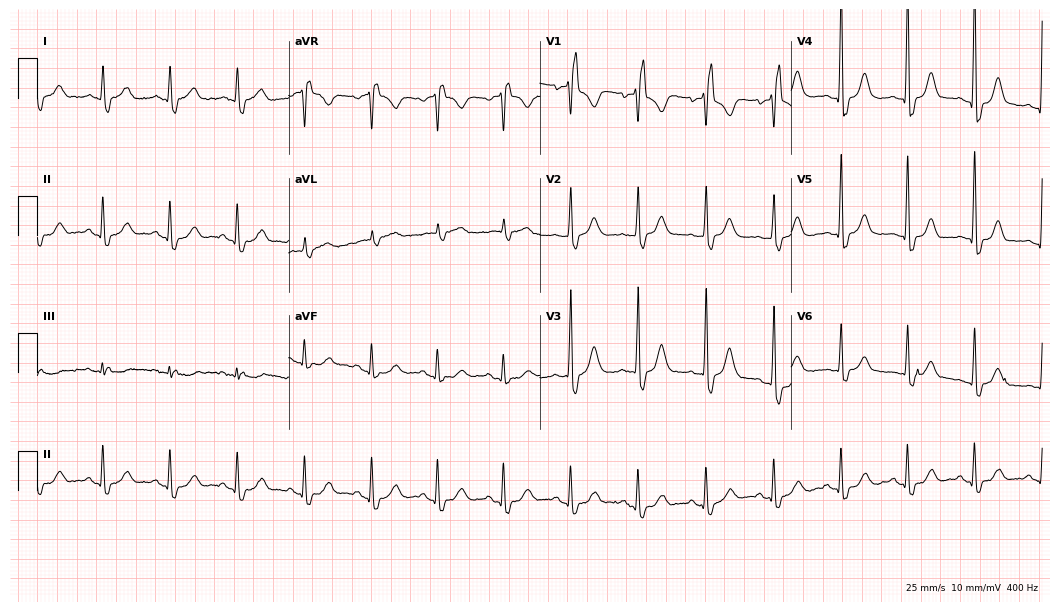
ECG (10.2-second recording at 400 Hz) — a male, 79 years old. Findings include right bundle branch block (RBBB).